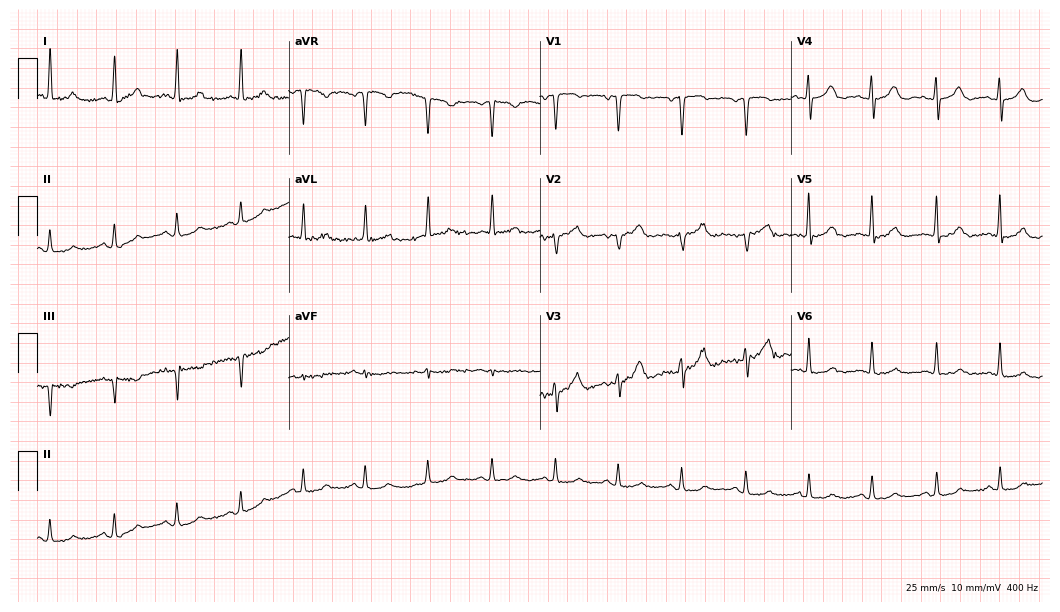
12-lead ECG (10.2-second recording at 400 Hz) from a female patient, 60 years old. Screened for six findings — first-degree AV block, right bundle branch block, left bundle branch block, sinus bradycardia, atrial fibrillation, sinus tachycardia — none is recorded. Other findings, if any, are not listed.